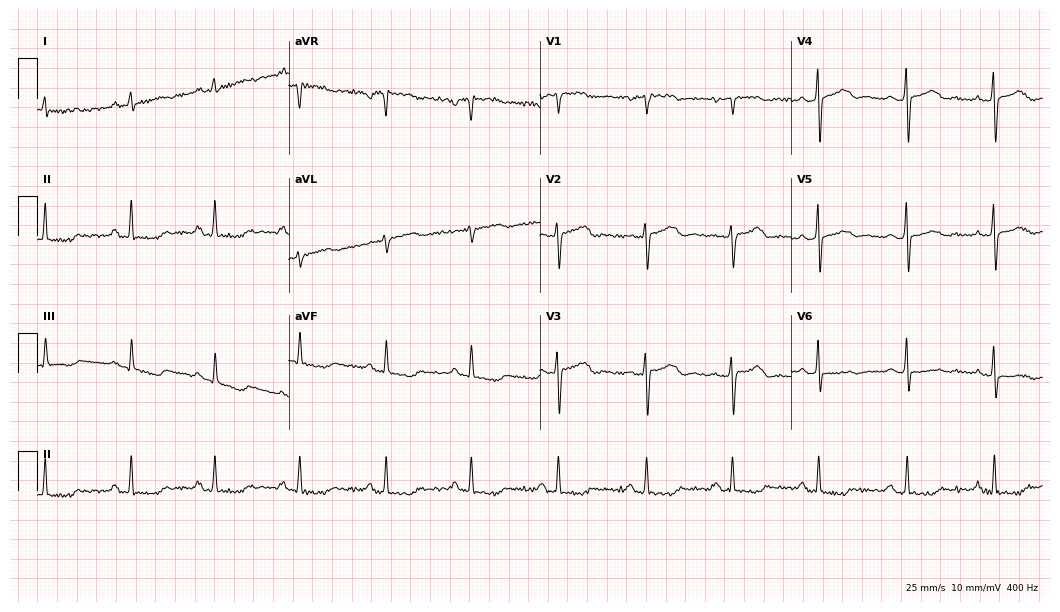
12-lead ECG from a woman, 63 years old (10.2-second recording at 400 Hz). No first-degree AV block, right bundle branch block (RBBB), left bundle branch block (LBBB), sinus bradycardia, atrial fibrillation (AF) or sinus tachycardia recorded for this tracing.